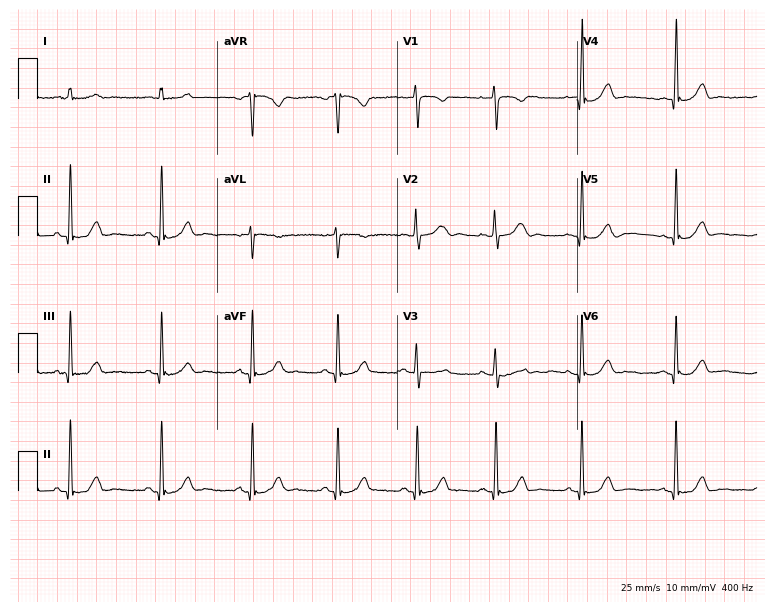
ECG — a 19-year-old woman. Labelled as a normal ECG.